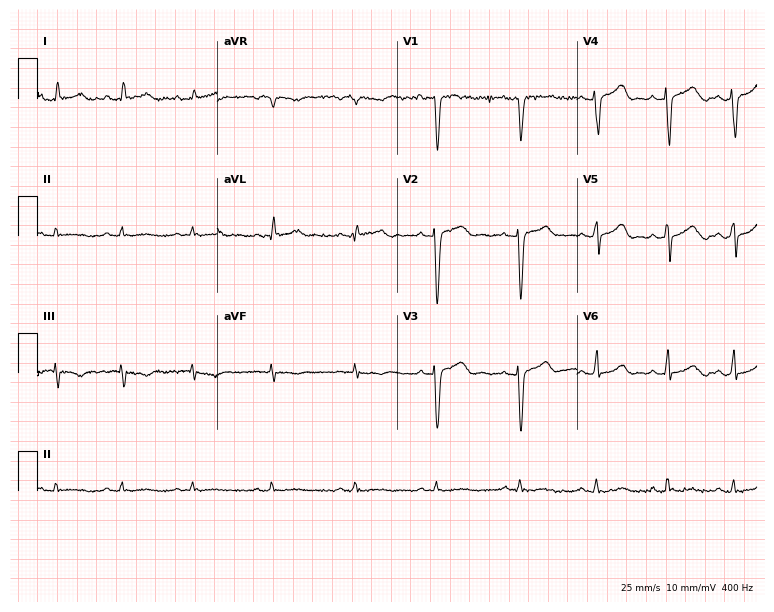
12-lead ECG (7.3-second recording at 400 Hz) from a 34-year-old female patient. Screened for six findings — first-degree AV block, right bundle branch block (RBBB), left bundle branch block (LBBB), sinus bradycardia, atrial fibrillation (AF), sinus tachycardia — none is recorded. Findings outside these six are not listed.